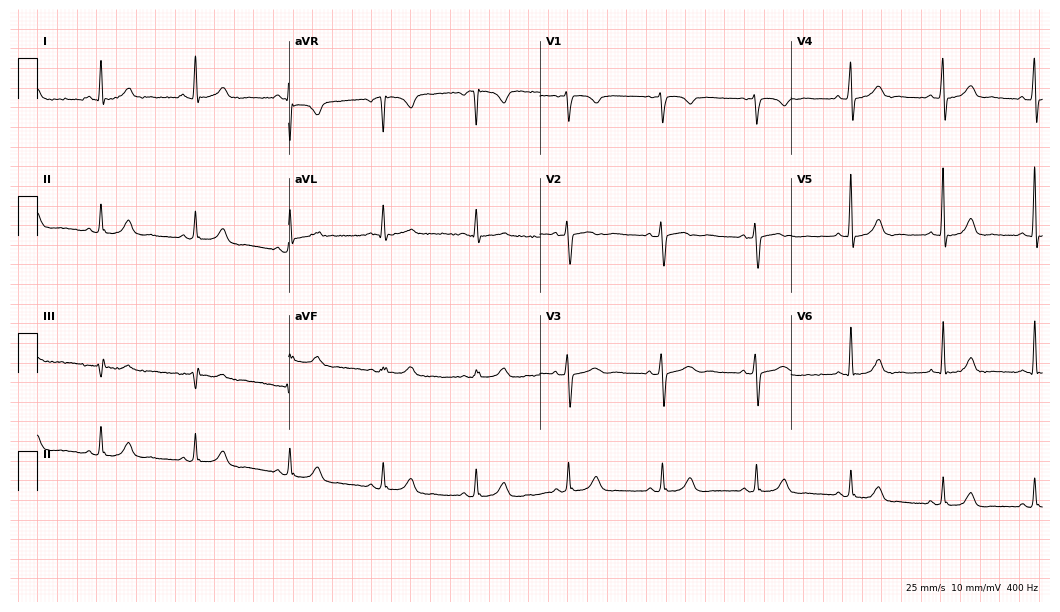
Electrocardiogram, a female patient, 59 years old. Overall reading on record: normal ECG.